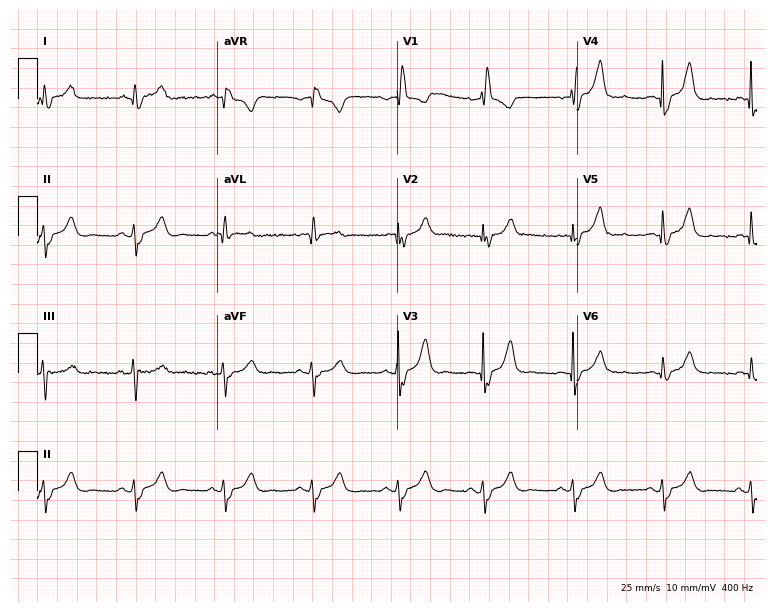
Electrocardiogram (7.3-second recording at 400 Hz), a female, 77 years old. Interpretation includes right bundle branch block.